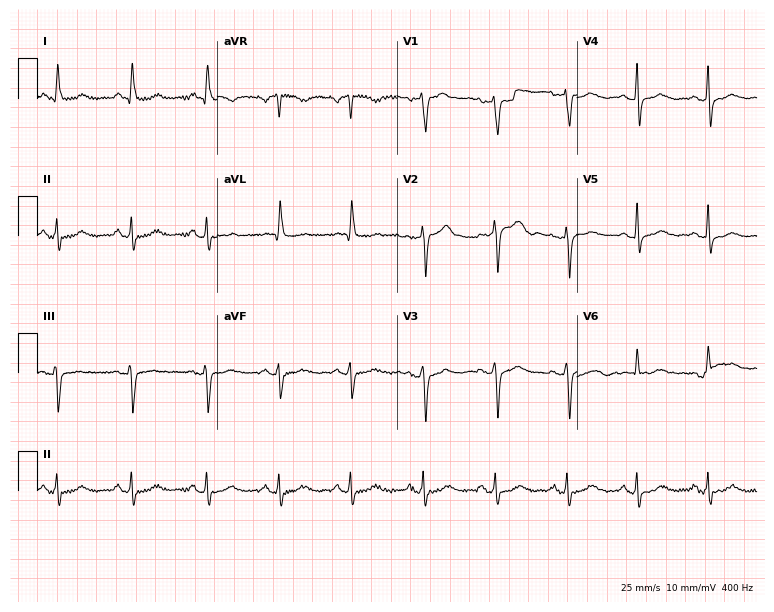
12-lead ECG from a female patient, 62 years old (7.3-second recording at 400 Hz). Recorded interpretation: within normal limits.